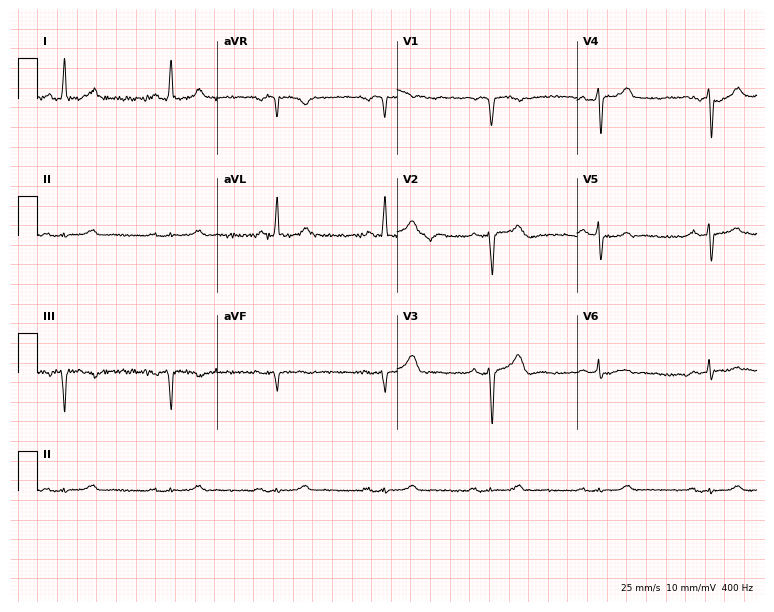
12-lead ECG (7.3-second recording at 400 Hz) from a male, 56 years old. Screened for six findings — first-degree AV block, right bundle branch block, left bundle branch block, sinus bradycardia, atrial fibrillation, sinus tachycardia — none is recorded.